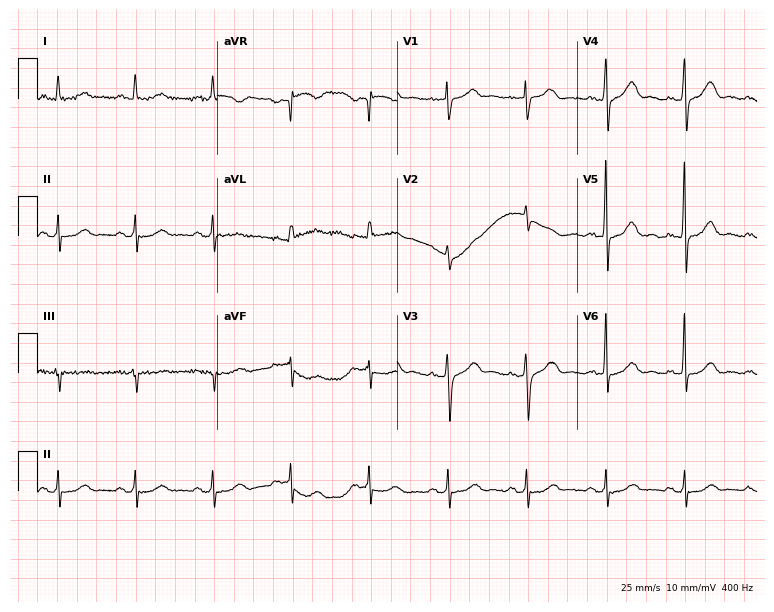
ECG — a 72-year-old man. Labelled as a normal ECG.